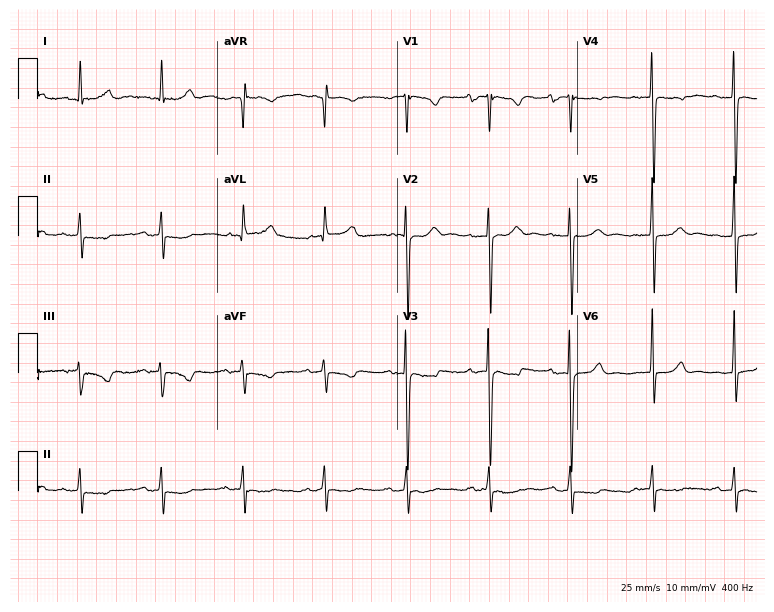
12-lead ECG (7.3-second recording at 400 Hz) from a female patient, 83 years old. Screened for six findings — first-degree AV block, right bundle branch block, left bundle branch block, sinus bradycardia, atrial fibrillation, sinus tachycardia — none is recorded.